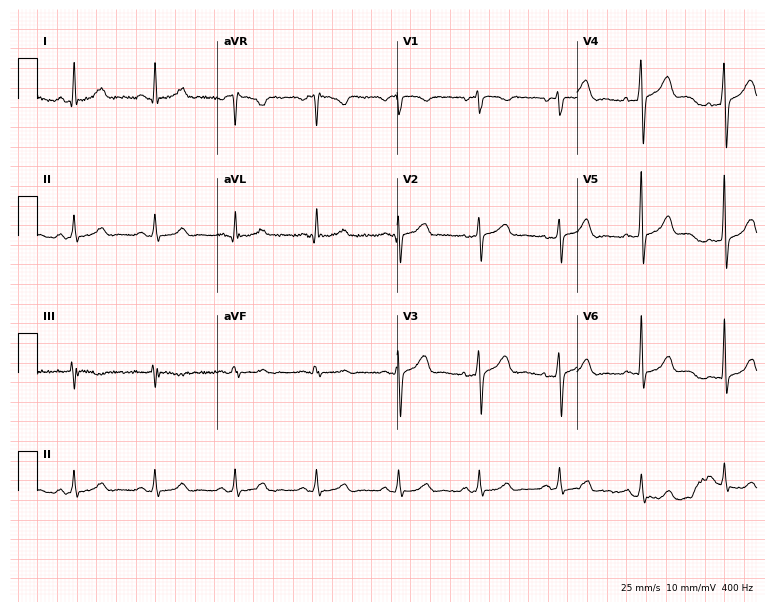
Standard 12-lead ECG recorded from a 53-year-old woman (7.3-second recording at 400 Hz). Read as a normal ECG.